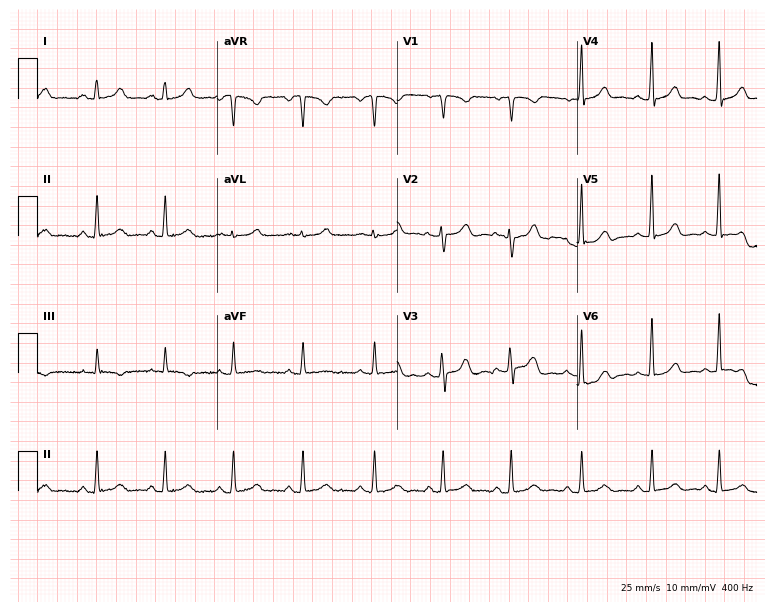
Electrocardiogram (7.3-second recording at 400 Hz), a woman, 29 years old. Overall reading on record: normal ECG.